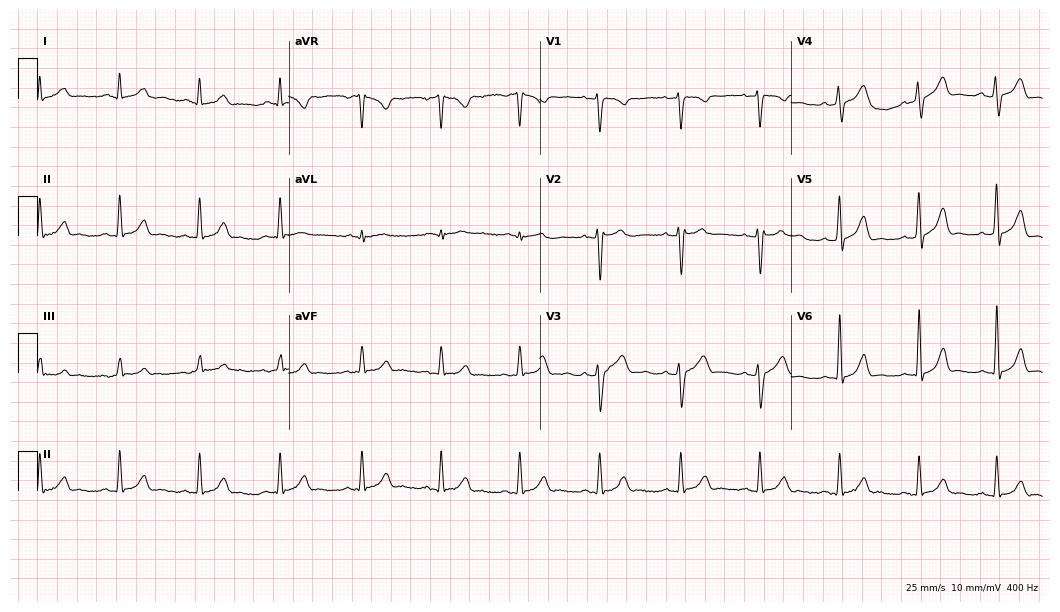
12-lead ECG (10.2-second recording at 400 Hz) from a man, 26 years old. Labelled as a normal ECG.